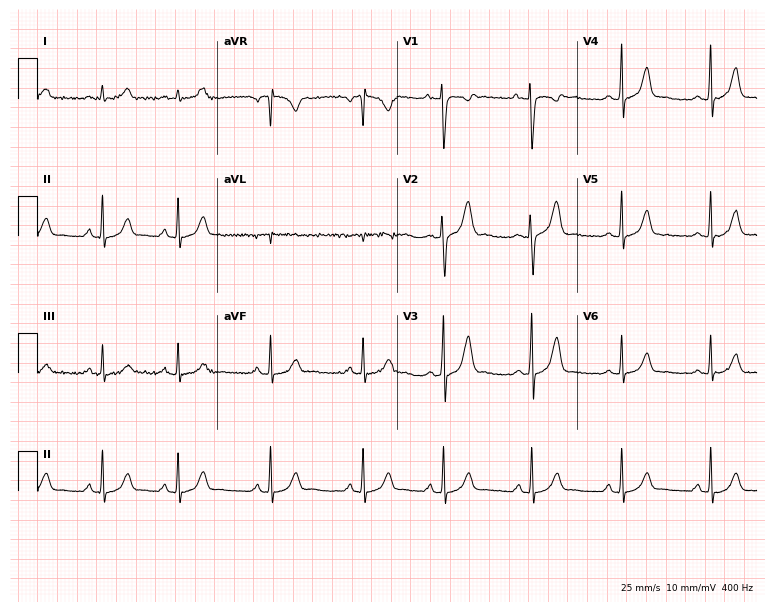
Electrocardiogram, a female patient, 19 years old. Overall reading on record: normal ECG.